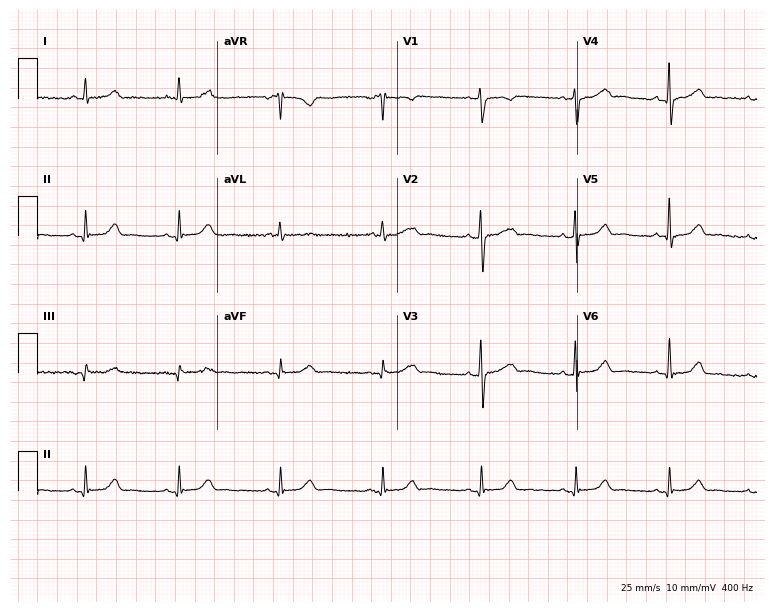
Standard 12-lead ECG recorded from a 60-year-old female patient. None of these six findings is recorded: first-degree AV block, right bundle branch block, left bundle branch block, sinus bradycardia, atrial fibrillation, sinus tachycardia. Findings outside these six are not listed.